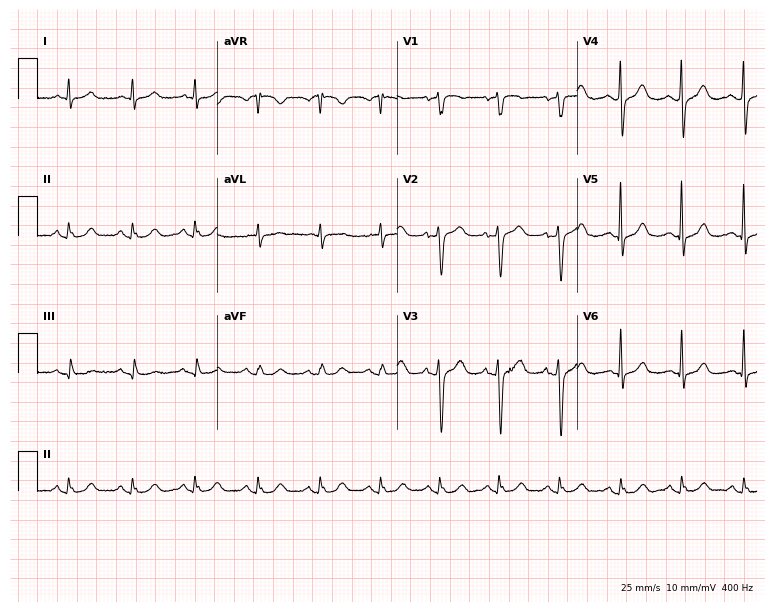
Resting 12-lead electrocardiogram. Patient: a female, 62 years old. None of these six findings is recorded: first-degree AV block, right bundle branch block, left bundle branch block, sinus bradycardia, atrial fibrillation, sinus tachycardia. Other findings, if any, are not listed.